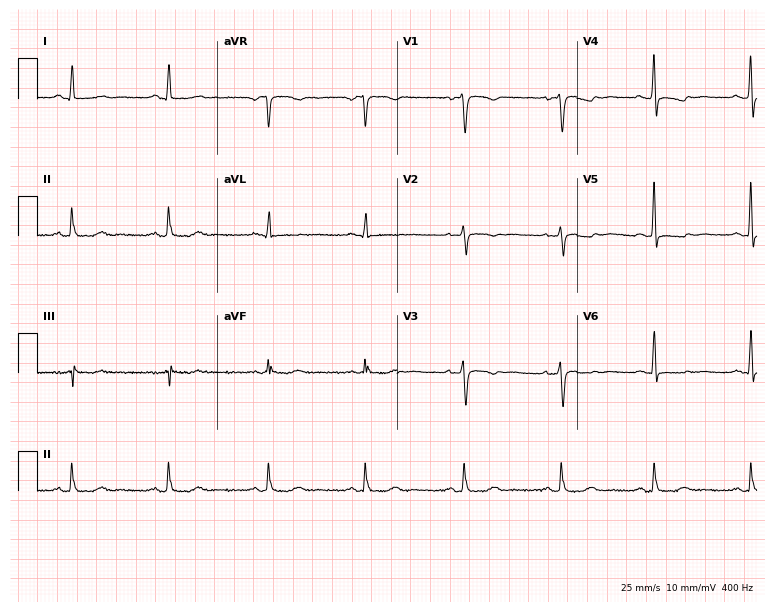
Resting 12-lead electrocardiogram. Patient: a female, 49 years old. None of these six findings is recorded: first-degree AV block, right bundle branch block, left bundle branch block, sinus bradycardia, atrial fibrillation, sinus tachycardia. Findings outside these six are not listed.